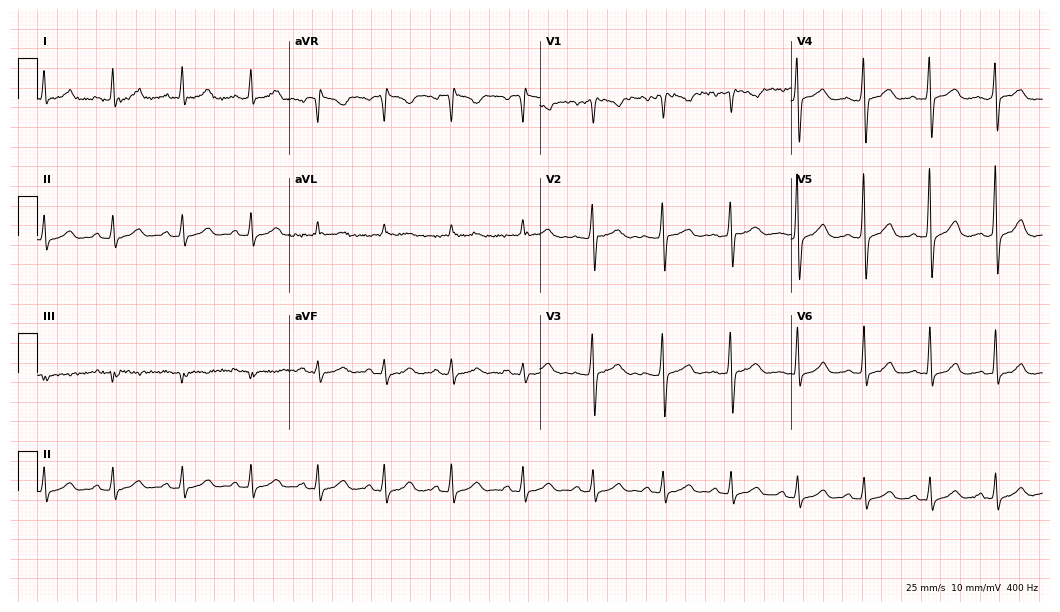
Standard 12-lead ECG recorded from a 31-year-old female patient (10.2-second recording at 400 Hz). Read as a normal ECG.